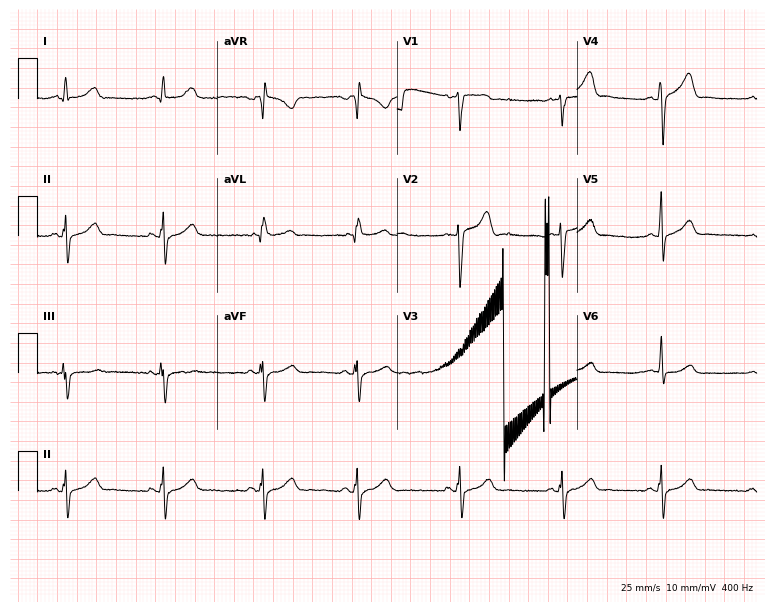
Resting 12-lead electrocardiogram. Patient: a male, 27 years old. None of these six findings is recorded: first-degree AV block, right bundle branch block, left bundle branch block, sinus bradycardia, atrial fibrillation, sinus tachycardia.